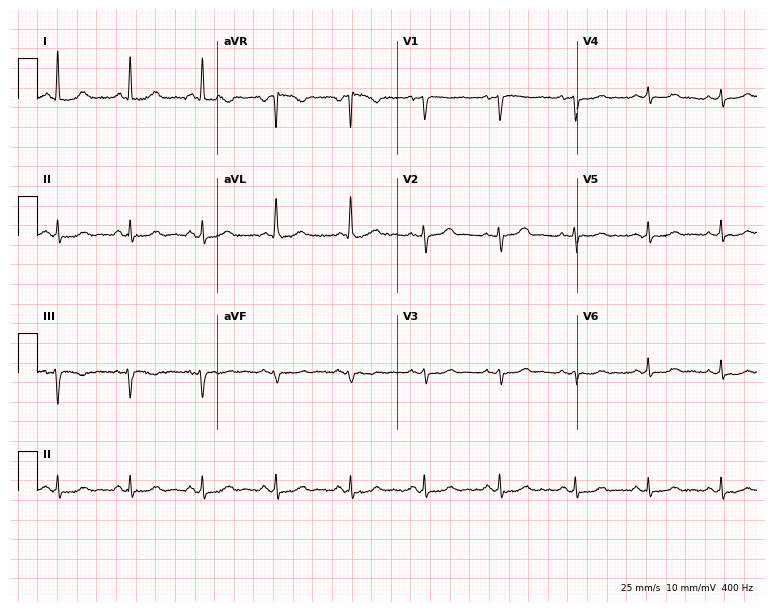
Resting 12-lead electrocardiogram (7.3-second recording at 400 Hz). Patient: a 60-year-old woman. None of these six findings is recorded: first-degree AV block, right bundle branch block, left bundle branch block, sinus bradycardia, atrial fibrillation, sinus tachycardia. Only these six findings were labelled.